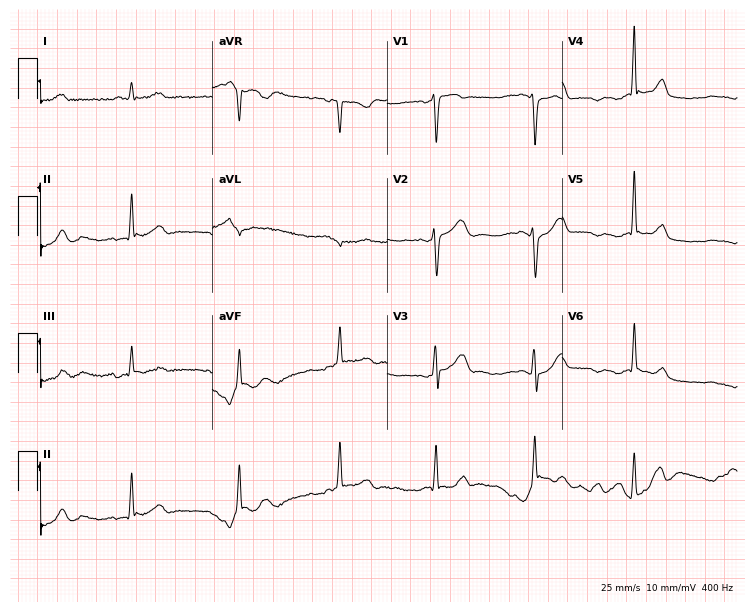
Standard 12-lead ECG recorded from a man, 28 years old (7.1-second recording at 400 Hz). None of these six findings is recorded: first-degree AV block, right bundle branch block, left bundle branch block, sinus bradycardia, atrial fibrillation, sinus tachycardia.